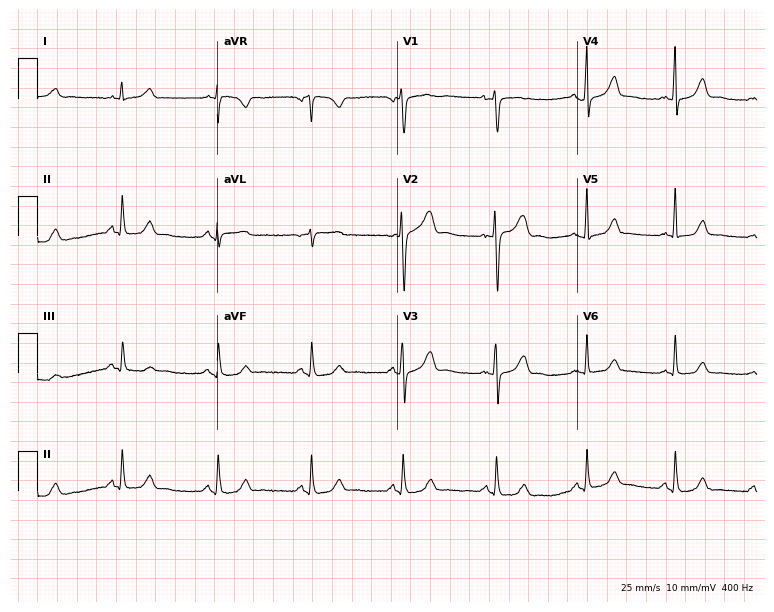
12-lead ECG from a 43-year-old female patient (7.3-second recording at 400 Hz). Recorded interpretation: within normal limits.